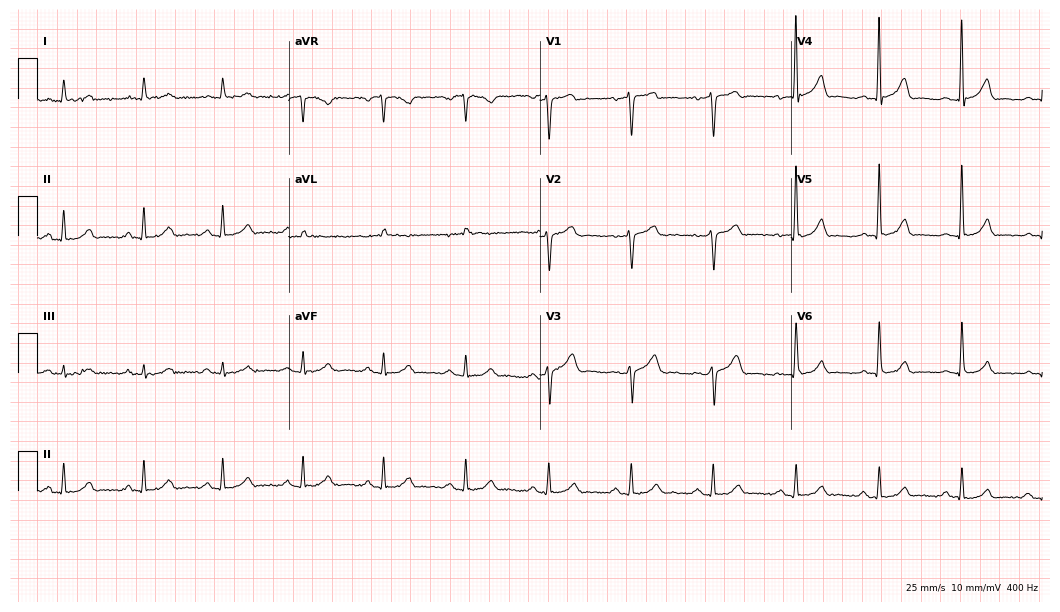
Resting 12-lead electrocardiogram (10.2-second recording at 400 Hz). Patient: a male, 52 years old. Read as a normal ECG.